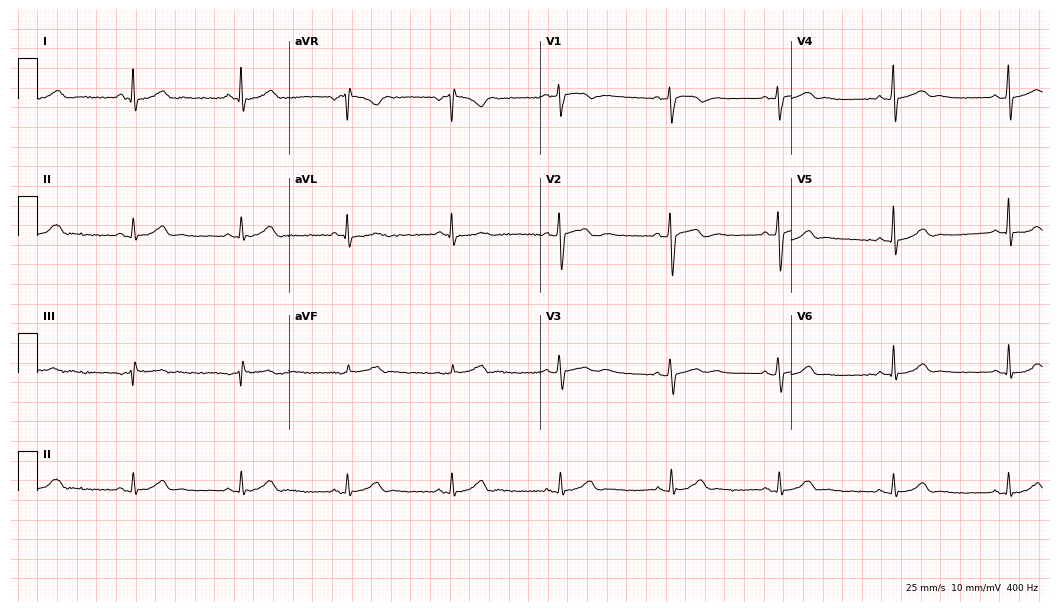
ECG — a male patient, 28 years old. Screened for six findings — first-degree AV block, right bundle branch block (RBBB), left bundle branch block (LBBB), sinus bradycardia, atrial fibrillation (AF), sinus tachycardia — none is recorded. Findings outside these six are not listed.